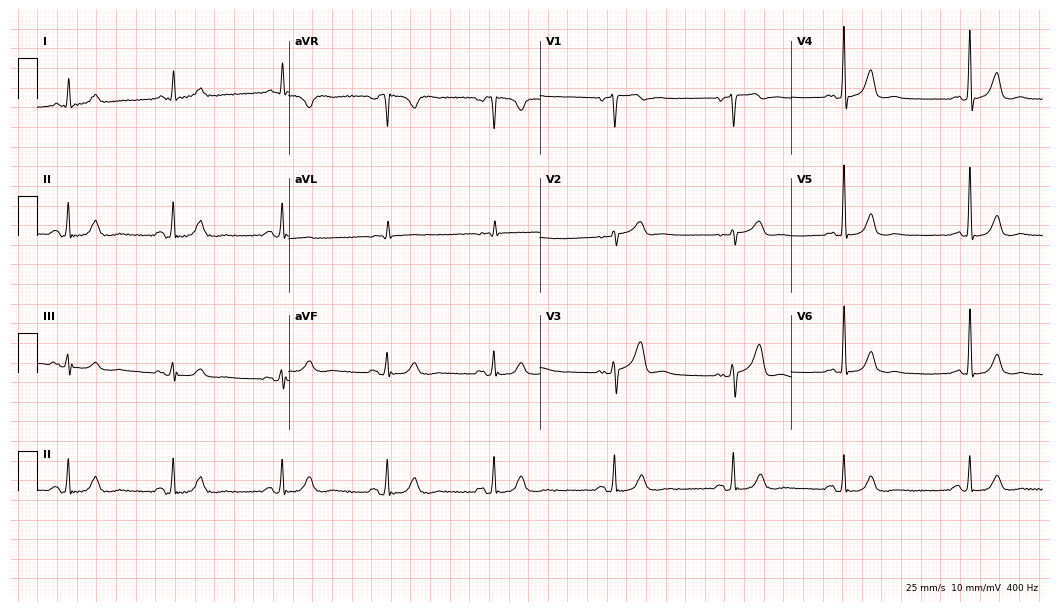
ECG — a man, 74 years old. Labelled as a normal ECG.